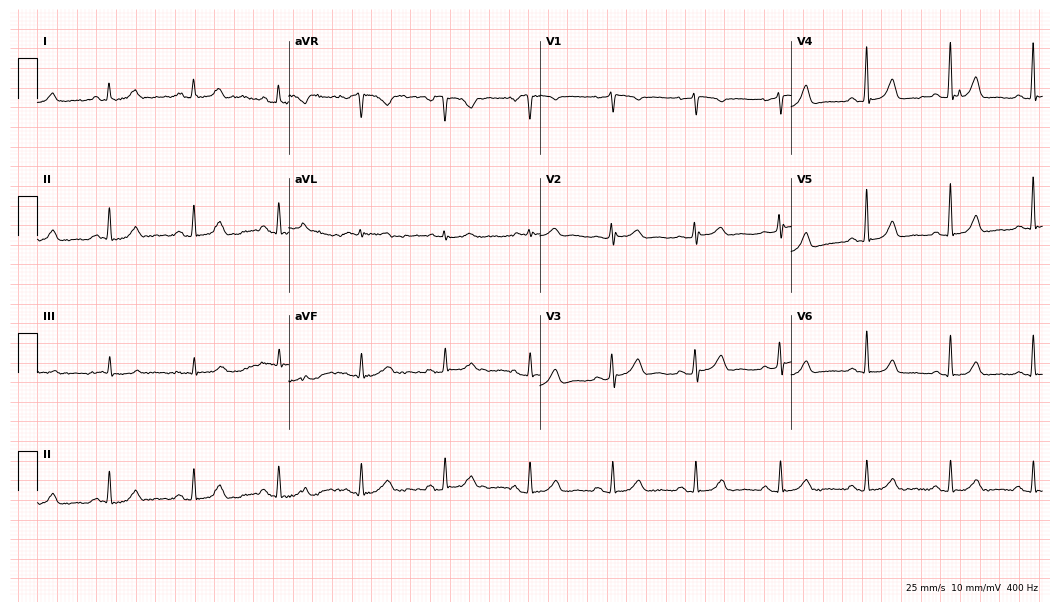
12-lead ECG (10.2-second recording at 400 Hz) from a 40-year-old woman. Screened for six findings — first-degree AV block, right bundle branch block (RBBB), left bundle branch block (LBBB), sinus bradycardia, atrial fibrillation (AF), sinus tachycardia — none is recorded.